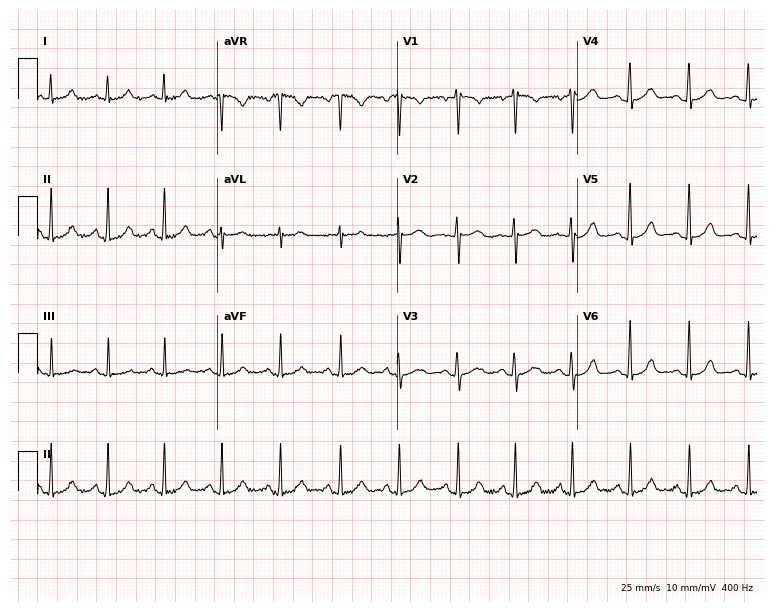
ECG (7.3-second recording at 400 Hz) — a female patient, 32 years old. Labelled as a normal ECG.